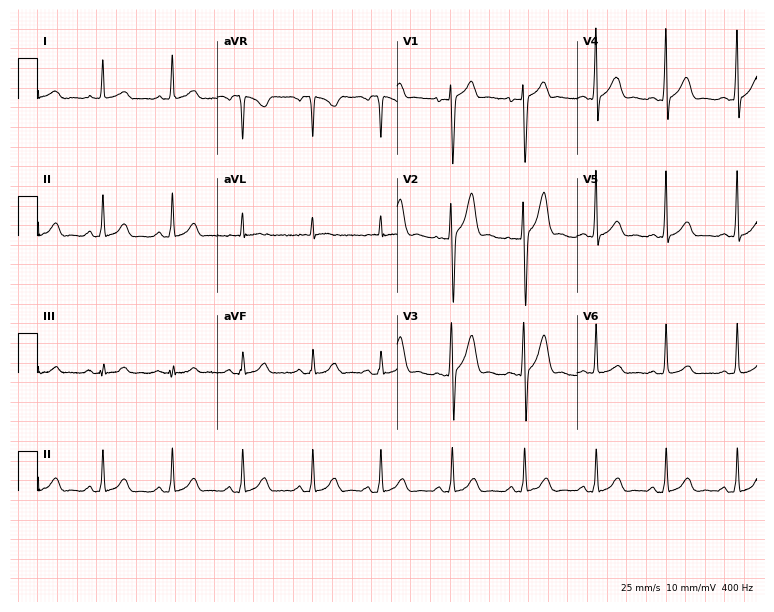
Standard 12-lead ECG recorded from a man, 26 years old. Read as a normal ECG.